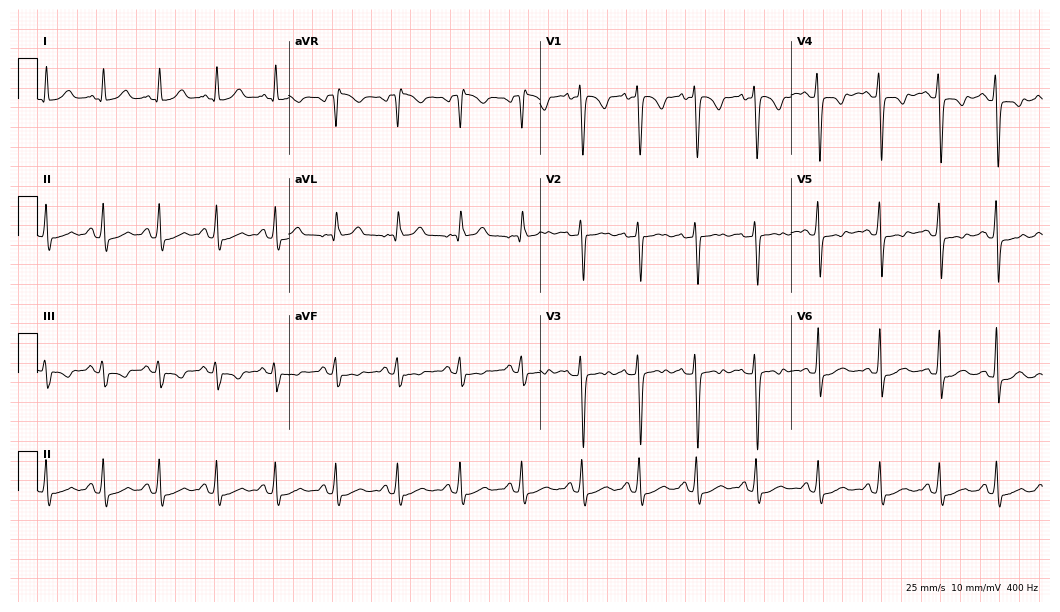
ECG (10.2-second recording at 400 Hz) — a 26-year-old female patient. Screened for six findings — first-degree AV block, right bundle branch block (RBBB), left bundle branch block (LBBB), sinus bradycardia, atrial fibrillation (AF), sinus tachycardia — none is recorded.